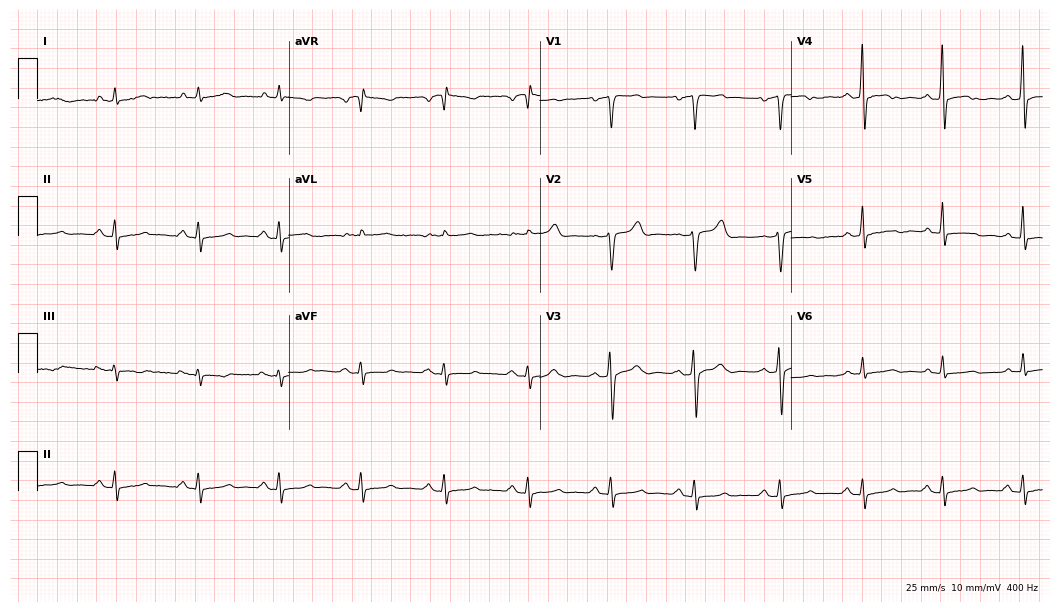
ECG (10.2-second recording at 400 Hz) — a man, 53 years old. Screened for six findings — first-degree AV block, right bundle branch block, left bundle branch block, sinus bradycardia, atrial fibrillation, sinus tachycardia — none is recorded. Only these six findings were labelled.